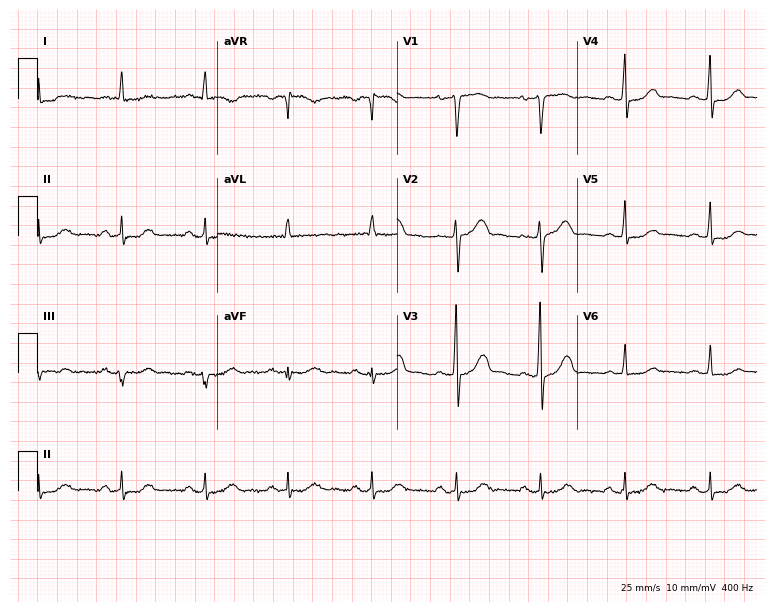
Resting 12-lead electrocardiogram. Patient: a 74-year-old woman. None of these six findings is recorded: first-degree AV block, right bundle branch block (RBBB), left bundle branch block (LBBB), sinus bradycardia, atrial fibrillation (AF), sinus tachycardia. Only these six findings were labelled.